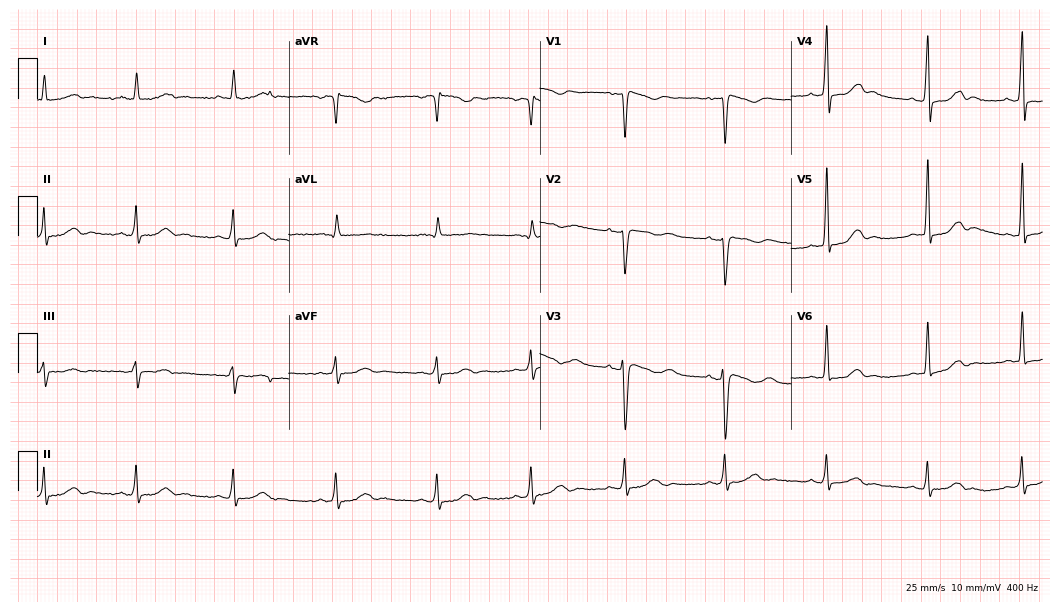
Resting 12-lead electrocardiogram (10.2-second recording at 400 Hz). Patient: a 30-year-old male. None of these six findings is recorded: first-degree AV block, right bundle branch block (RBBB), left bundle branch block (LBBB), sinus bradycardia, atrial fibrillation (AF), sinus tachycardia. Other findings, if any, are not listed.